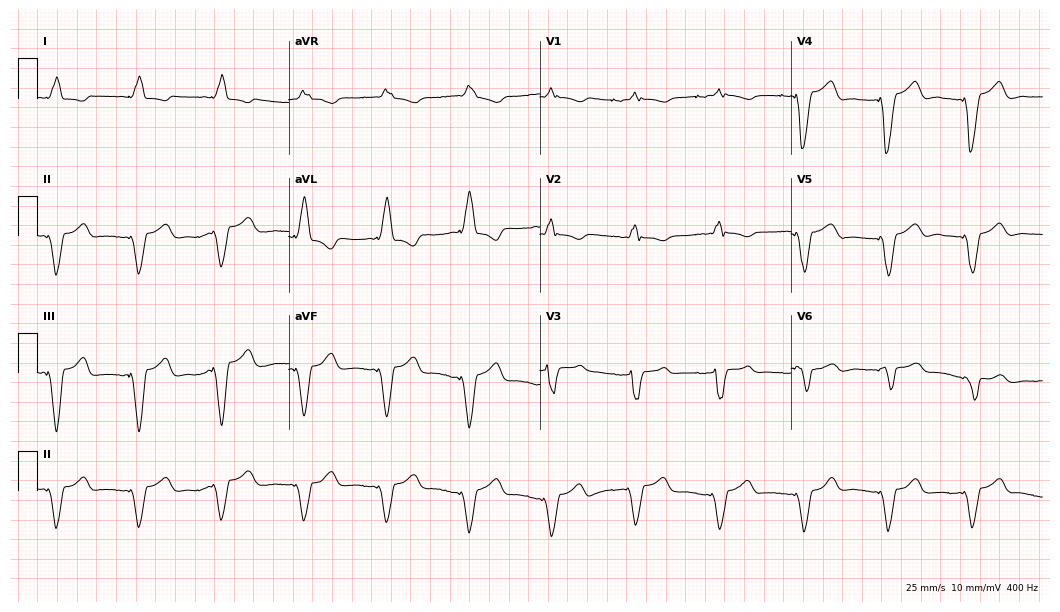
ECG (10.2-second recording at 400 Hz) — a 38-year-old female patient. Screened for six findings — first-degree AV block, right bundle branch block, left bundle branch block, sinus bradycardia, atrial fibrillation, sinus tachycardia — none is recorded. Only these six findings were labelled.